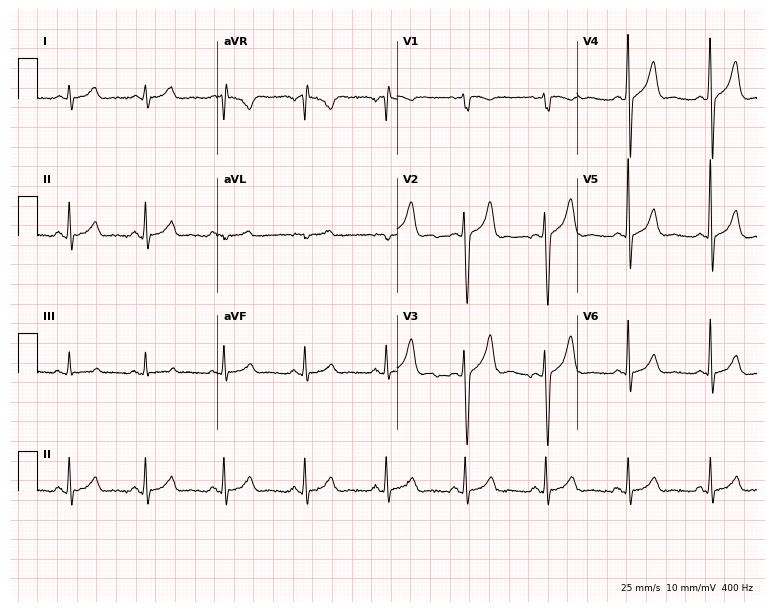
12-lead ECG from a 42-year-old man (7.3-second recording at 400 Hz). No first-degree AV block, right bundle branch block (RBBB), left bundle branch block (LBBB), sinus bradycardia, atrial fibrillation (AF) or sinus tachycardia recorded for this tracing.